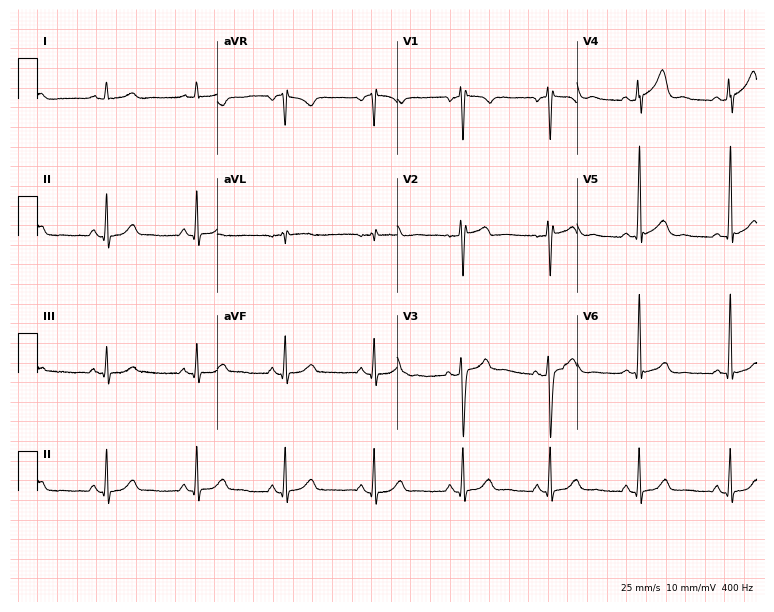
Standard 12-lead ECG recorded from a female, 49 years old (7.3-second recording at 400 Hz). Read as a normal ECG.